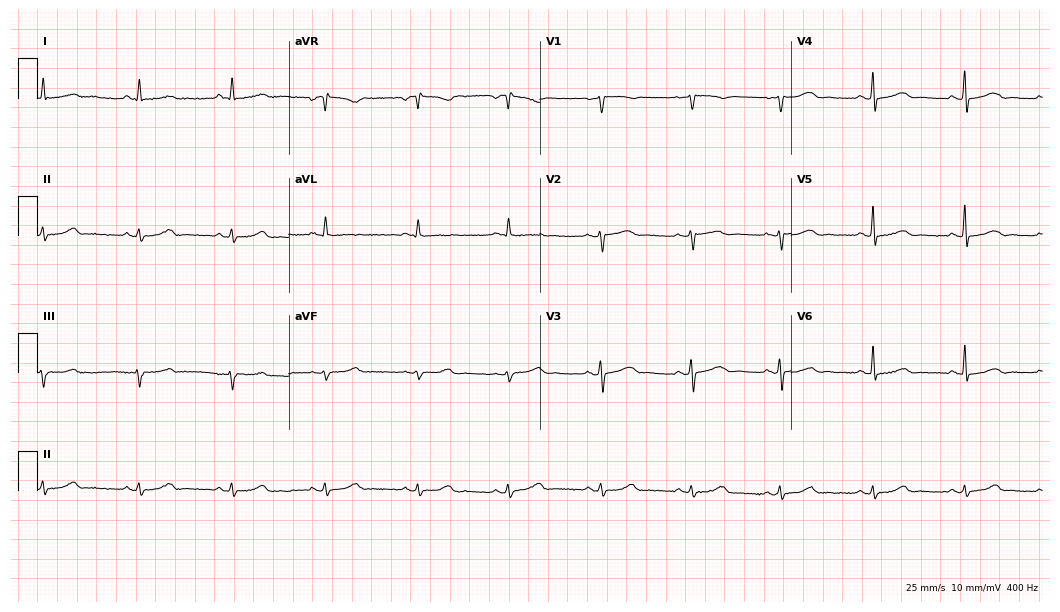
Resting 12-lead electrocardiogram (10.2-second recording at 400 Hz). Patient: a woman, 43 years old. Read as a normal ECG.